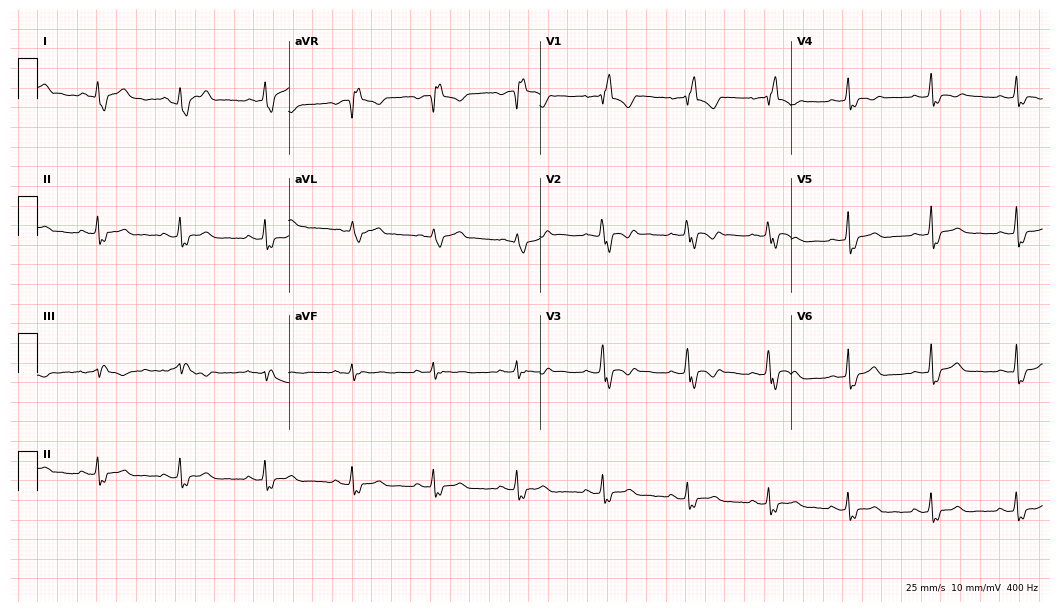
12-lead ECG from a woman, 32 years old (10.2-second recording at 400 Hz). Shows right bundle branch block.